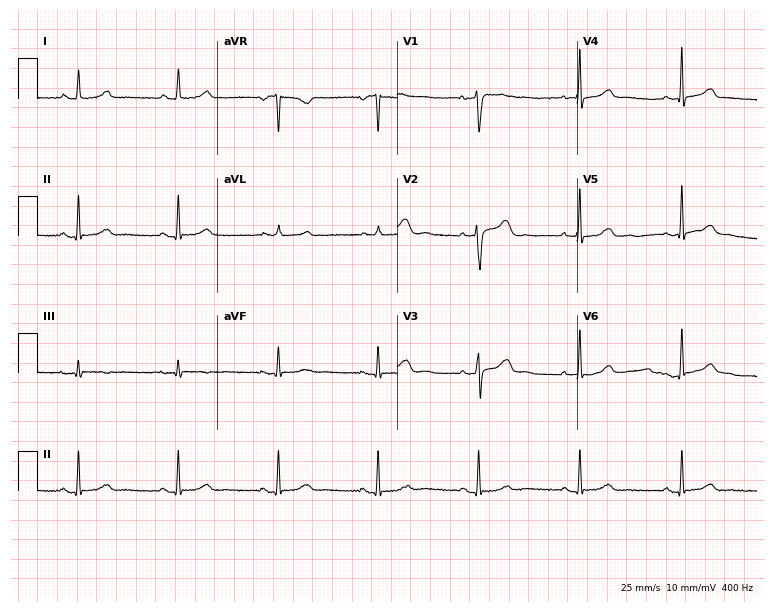
Resting 12-lead electrocardiogram. Patient: a woman, 41 years old. None of these six findings is recorded: first-degree AV block, right bundle branch block, left bundle branch block, sinus bradycardia, atrial fibrillation, sinus tachycardia.